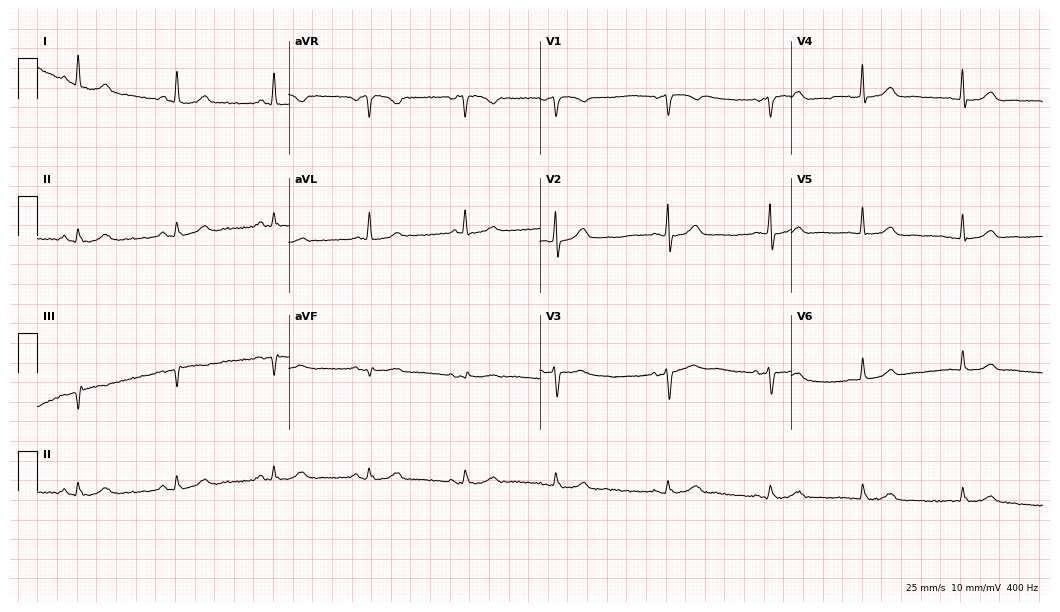
Resting 12-lead electrocardiogram (10.2-second recording at 400 Hz). Patient: a 57-year-old female. Read as a normal ECG.